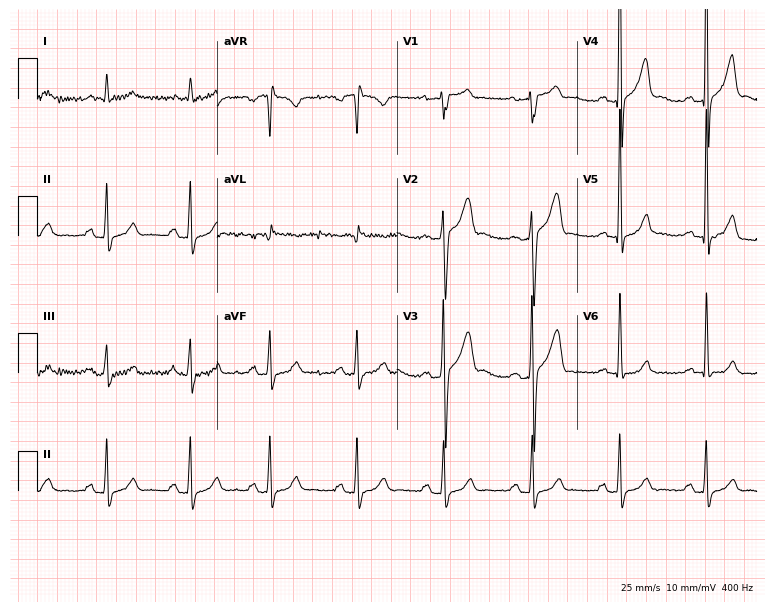
ECG (7.3-second recording at 400 Hz) — a male, 56 years old. Screened for six findings — first-degree AV block, right bundle branch block (RBBB), left bundle branch block (LBBB), sinus bradycardia, atrial fibrillation (AF), sinus tachycardia — none is recorded.